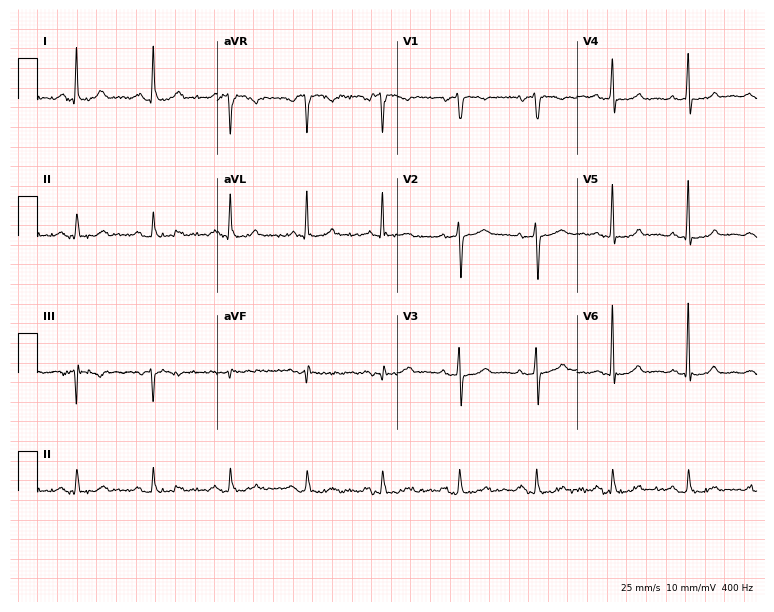
Electrocardiogram, a 74-year-old male. Of the six screened findings (first-degree AV block, right bundle branch block (RBBB), left bundle branch block (LBBB), sinus bradycardia, atrial fibrillation (AF), sinus tachycardia), none is recorded. Only these six findings were labelled.